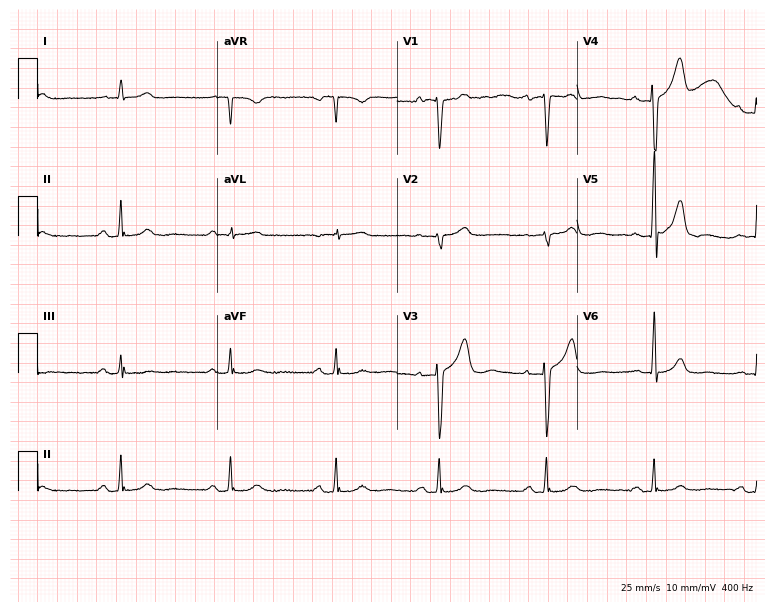
Resting 12-lead electrocardiogram (7.3-second recording at 400 Hz). Patient: a 77-year-old male. None of these six findings is recorded: first-degree AV block, right bundle branch block, left bundle branch block, sinus bradycardia, atrial fibrillation, sinus tachycardia. Other findings, if any, are not listed.